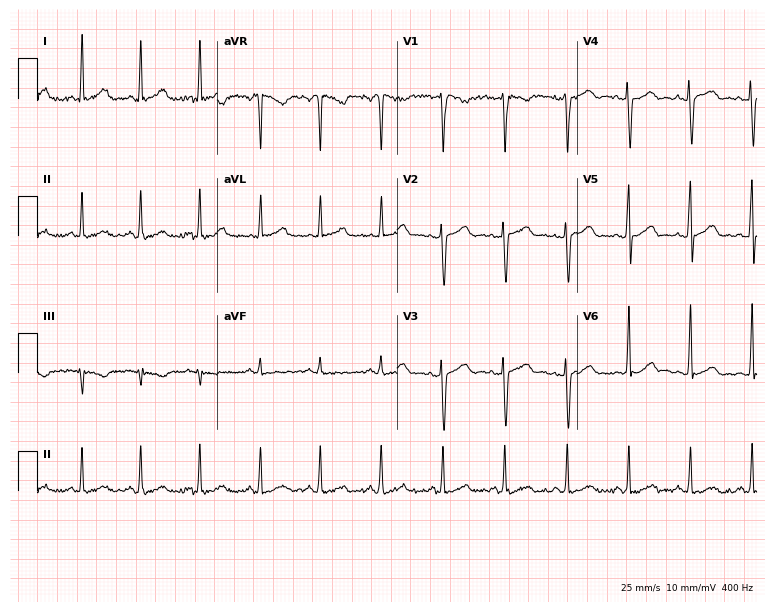
Resting 12-lead electrocardiogram (7.3-second recording at 400 Hz). Patient: a 30-year-old female. None of these six findings is recorded: first-degree AV block, right bundle branch block (RBBB), left bundle branch block (LBBB), sinus bradycardia, atrial fibrillation (AF), sinus tachycardia.